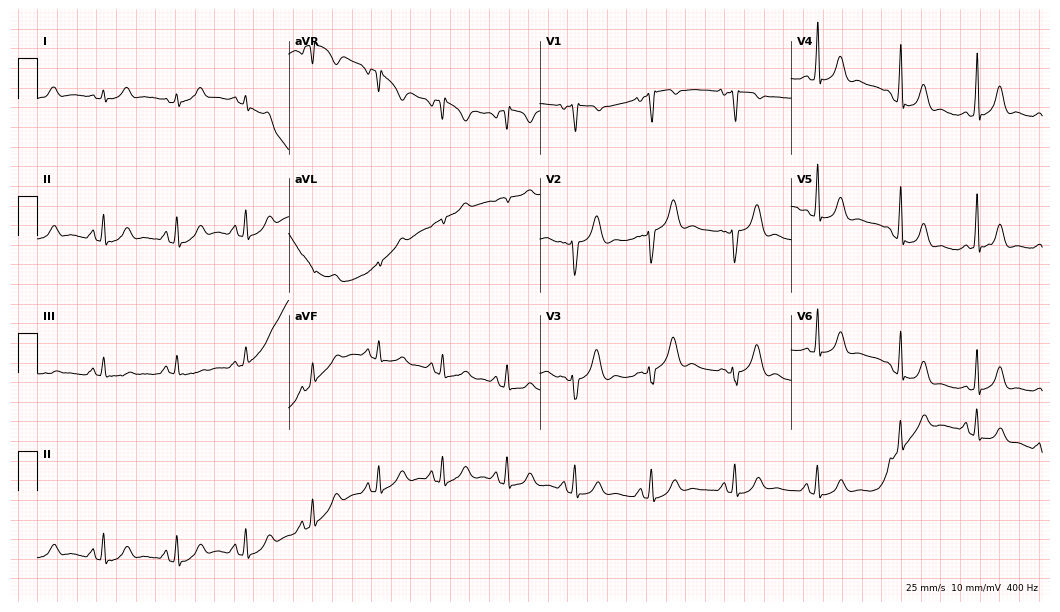
Resting 12-lead electrocardiogram. Patient: a woman, 34 years old. Read as a normal ECG.